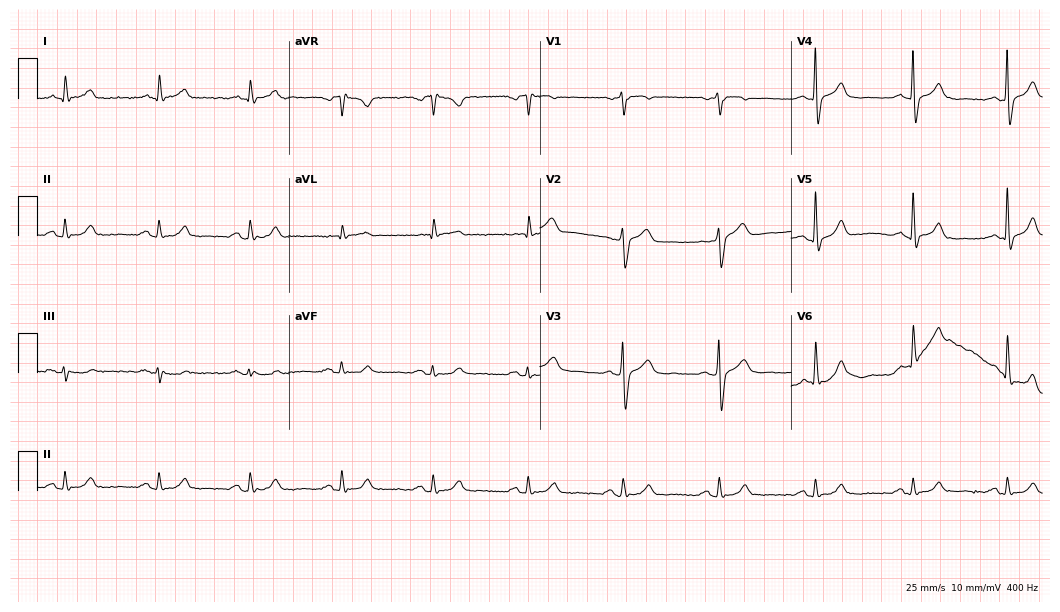
Standard 12-lead ECG recorded from a male patient, 52 years old (10.2-second recording at 400 Hz). None of these six findings is recorded: first-degree AV block, right bundle branch block (RBBB), left bundle branch block (LBBB), sinus bradycardia, atrial fibrillation (AF), sinus tachycardia. Only these six findings were labelled.